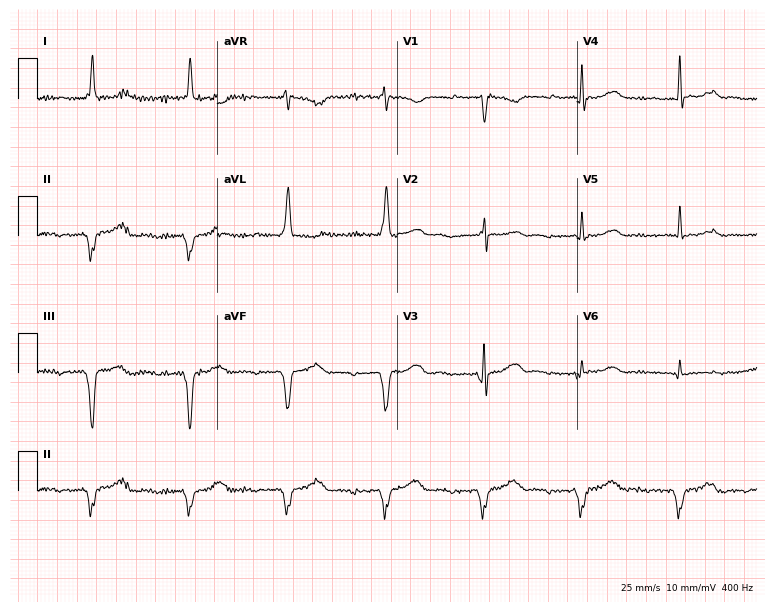
Standard 12-lead ECG recorded from a male, 67 years old (7.3-second recording at 400 Hz). None of these six findings is recorded: first-degree AV block, right bundle branch block (RBBB), left bundle branch block (LBBB), sinus bradycardia, atrial fibrillation (AF), sinus tachycardia. Only these six findings were labelled.